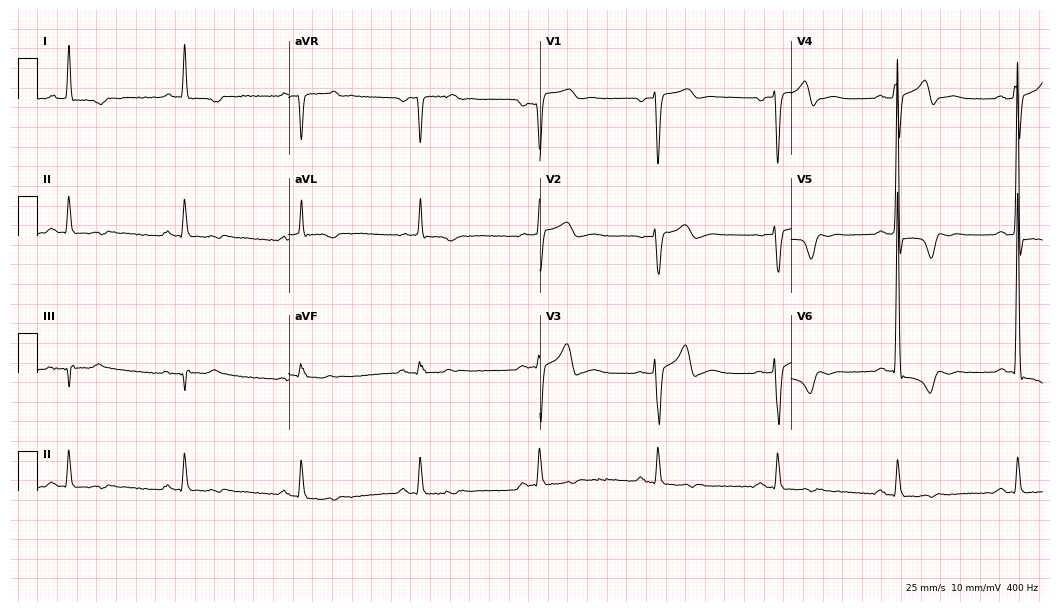
Electrocardiogram, an 84-year-old man. Interpretation includes sinus bradycardia (a sinus rate of 50 beats per minute or less).